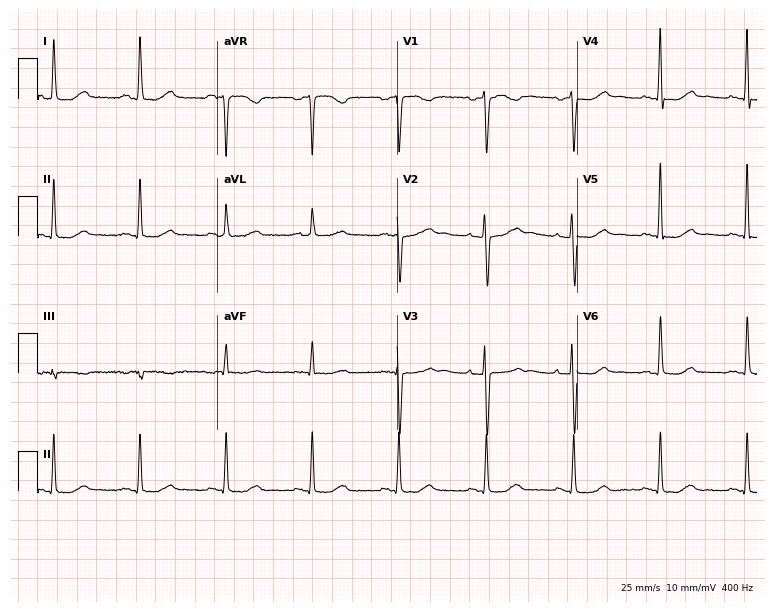
12-lead ECG (7.3-second recording at 400 Hz) from a woman, 68 years old. Screened for six findings — first-degree AV block, right bundle branch block, left bundle branch block, sinus bradycardia, atrial fibrillation, sinus tachycardia — none is recorded.